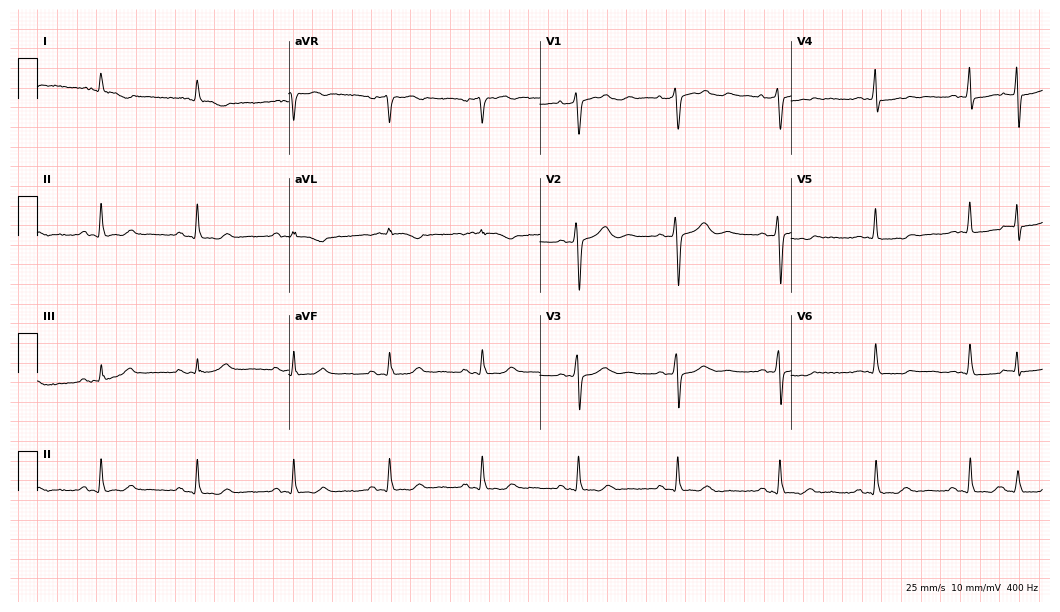
12-lead ECG from a 62-year-old woman. No first-degree AV block, right bundle branch block, left bundle branch block, sinus bradycardia, atrial fibrillation or sinus tachycardia recorded for this tracing.